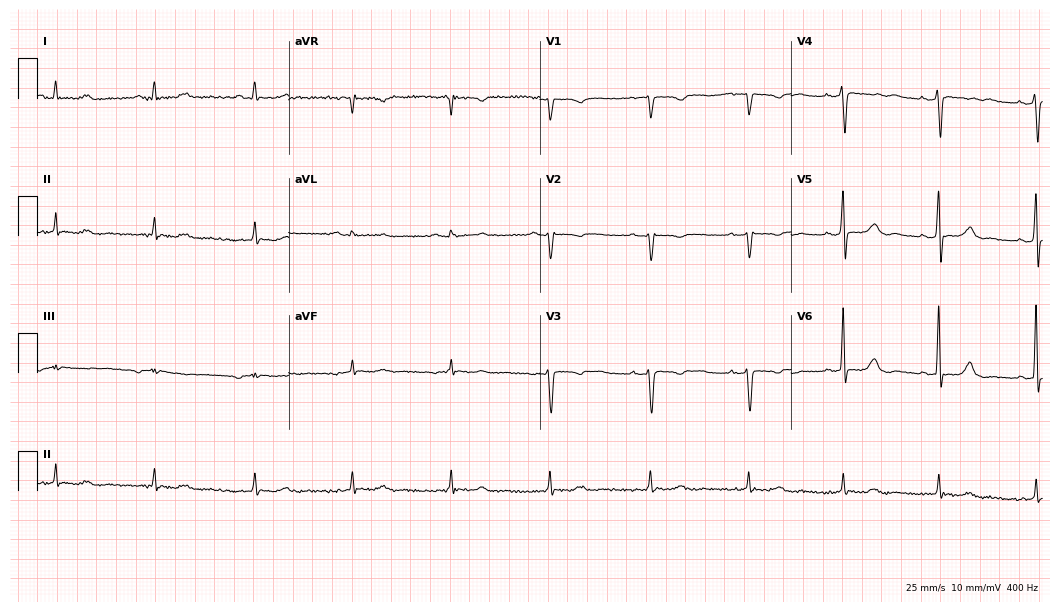
12-lead ECG (10.2-second recording at 400 Hz) from a 63-year-old woman. Screened for six findings — first-degree AV block, right bundle branch block, left bundle branch block, sinus bradycardia, atrial fibrillation, sinus tachycardia — none is recorded. Other findings, if any, are not listed.